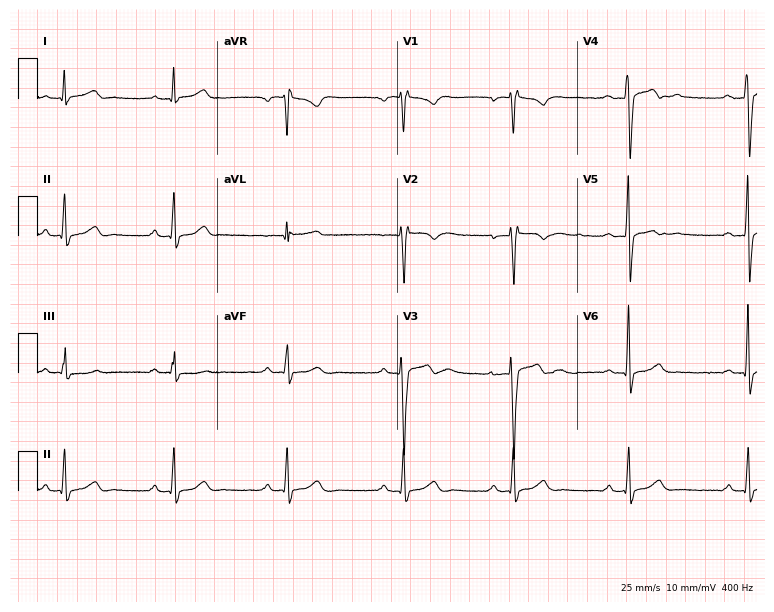
12-lead ECG from a 28-year-old male (7.3-second recording at 400 Hz). No first-degree AV block, right bundle branch block, left bundle branch block, sinus bradycardia, atrial fibrillation or sinus tachycardia recorded for this tracing.